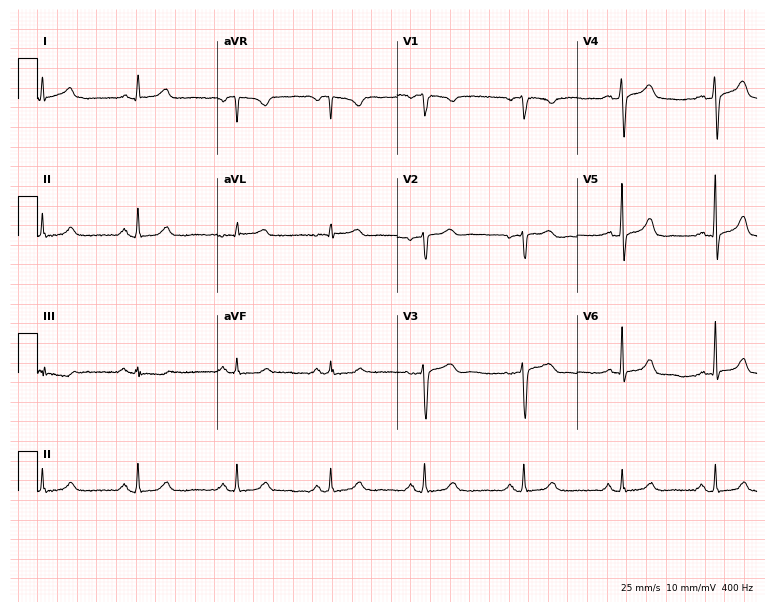
ECG — a female patient, 65 years old. Screened for six findings — first-degree AV block, right bundle branch block (RBBB), left bundle branch block (LBBB), sinus bradycardia, atrial fibrillation (AF), sinus tachycardia — none is recorded. Findings outside these six are not listed.